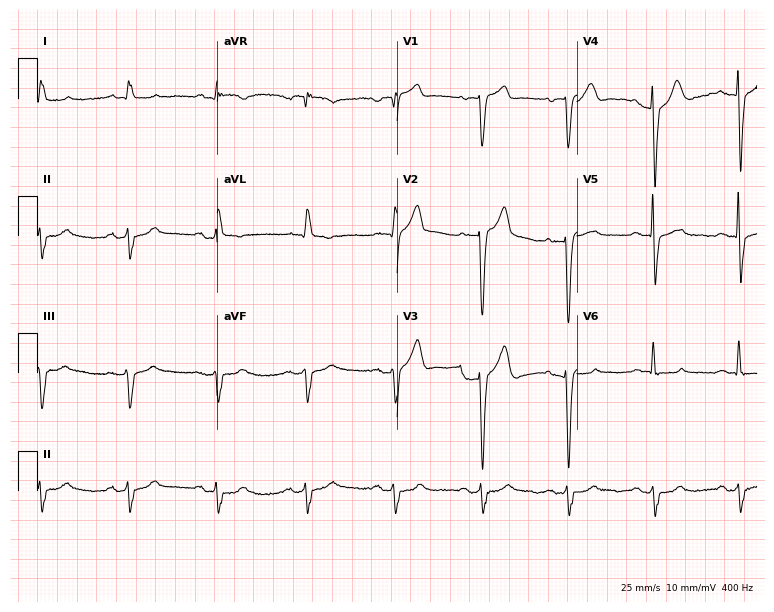
Resting 12-lead electrocardiogram. Patient: a male, 78 years old. None of these six findings is recorded: first-degree AV block, right bundle branch block (RBBB), left bundle branch block (LBBB), sinus bradycardia, atrial fibrillation (AF), sinus tachycardia.